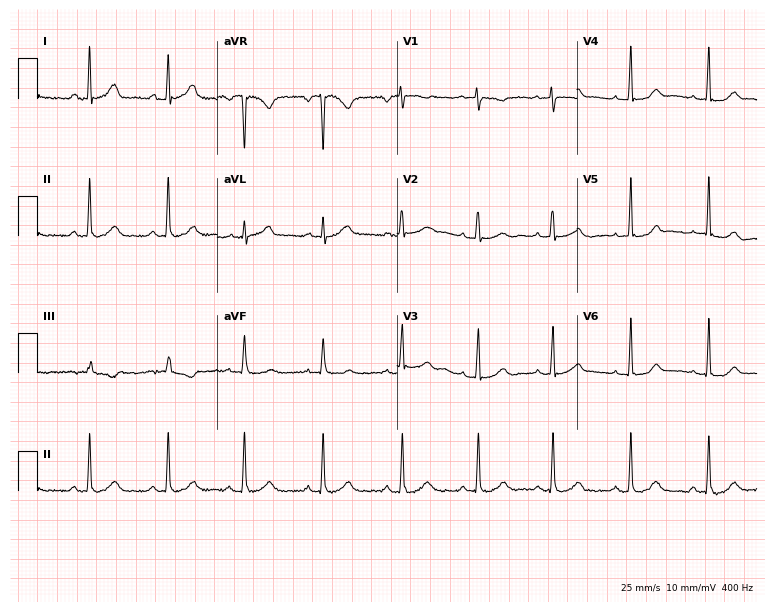
12-lead ECG from a woman, 30 years old. Labelled as a normal ECG.